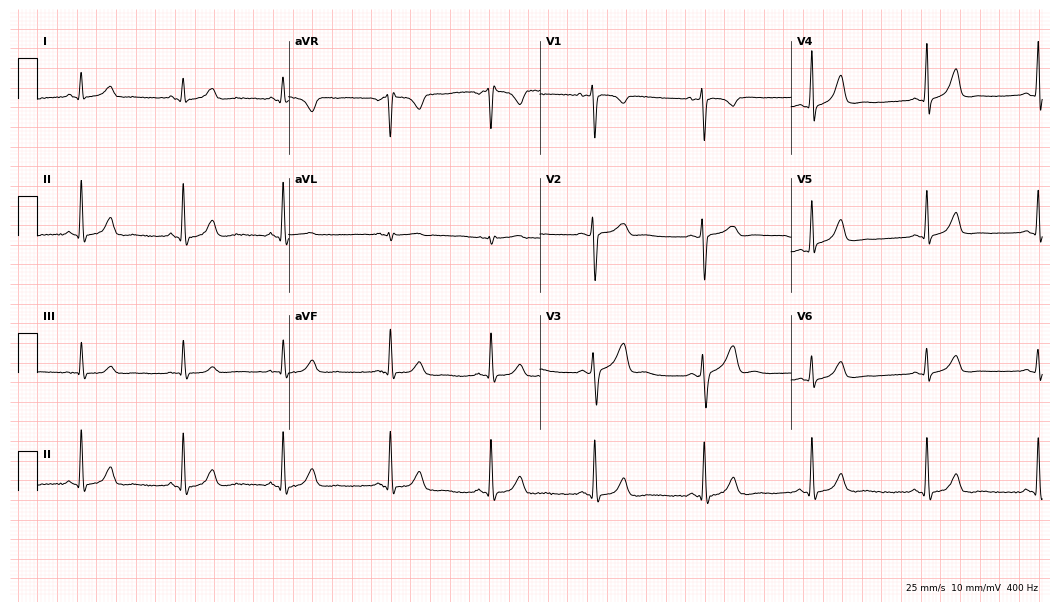
Standard 12-lead ECG recorded from a woman, 22 years old (10.2-second recording at 400 Hz). Read as a normal ECG.